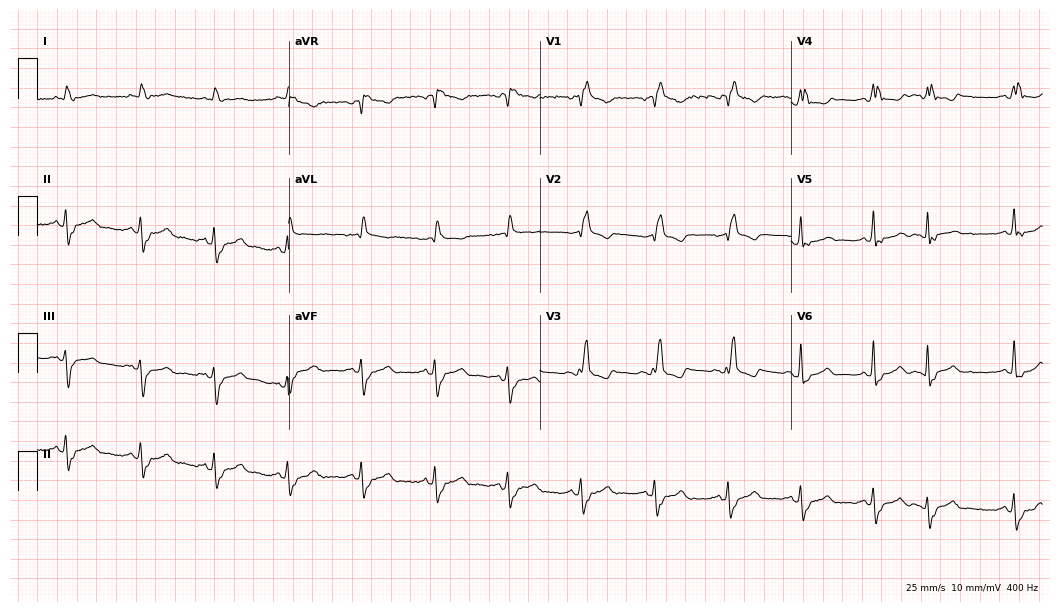
12-lead ECG from an 85-year-old man. Screened for six findings — first-degree AV block, right bundle branch block (RBBB), left bundle branch block (LBBB), sinus bradycardia, atrial fibrillation (AF), sinus tachycardia — none is recorded.